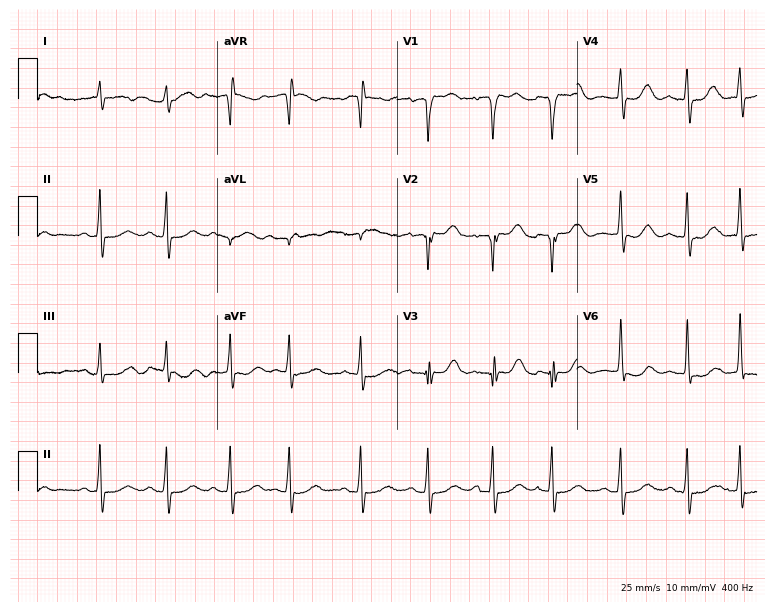
Electrocardiogram, an 82-year-old woman. Of the six screened findings (first-degree AV block, right bundle branch block, left bundle branch block, sinus bradycardia, atrial fibrillation, sinus tachycardia), none is recorded.